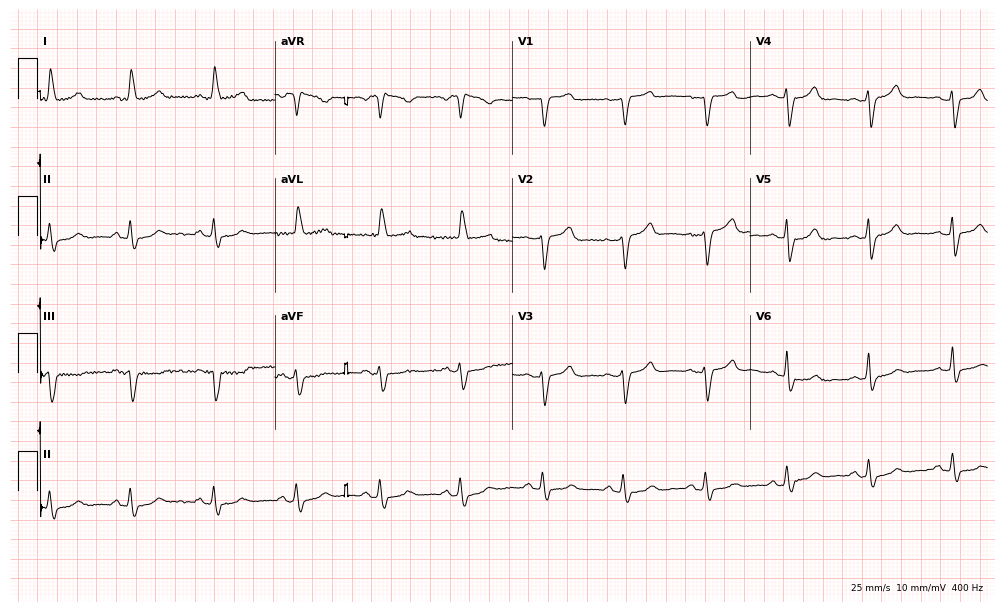
Electrocardiogram, a 75-year-old female. Of the six screened findings (first-degree AV block, right bundle branch block, left bundle branch block, sinus bradycardia, atrial fibrillation, sinus tachycardia), none is recorded.